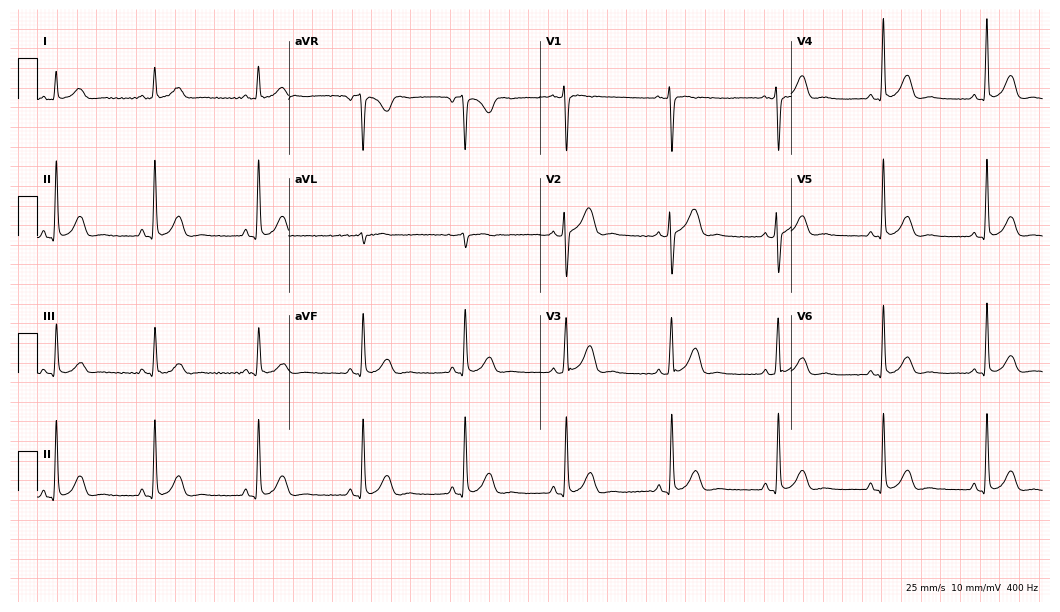
Resting 12-lead electrocardiogram. Patient: a 54-year-old female. None of these six findings is recorded: first-degree AV block, right bundle branch block, left bundle branch block, sinus bradycardia, atrial fibrillation, sinus tachycardia.